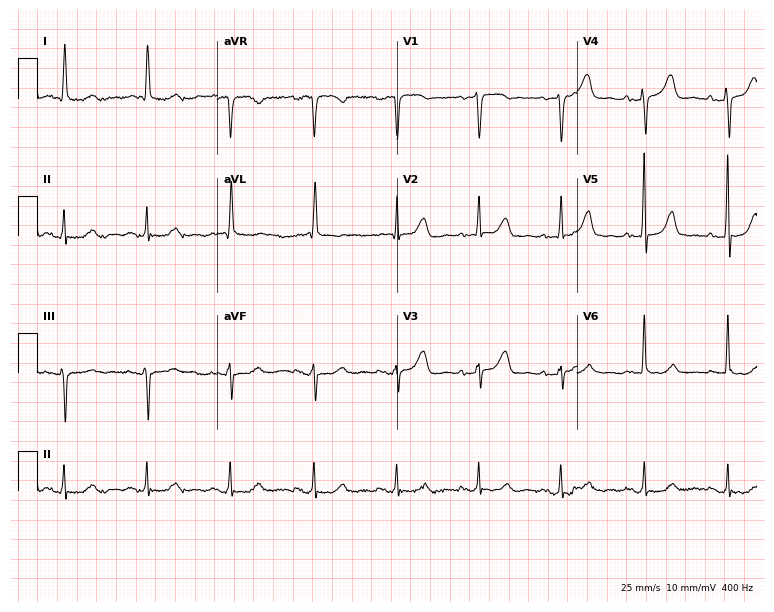
Electrocardiogram, a female patient, 75 years old. Of the six screened findings (first-degree AV block, right bundle branch block (RBBB), left bundle branch block (LBBB), sinus bradycardia, atrial fibrillation (AF), sinus tachycardia), none is recorded.